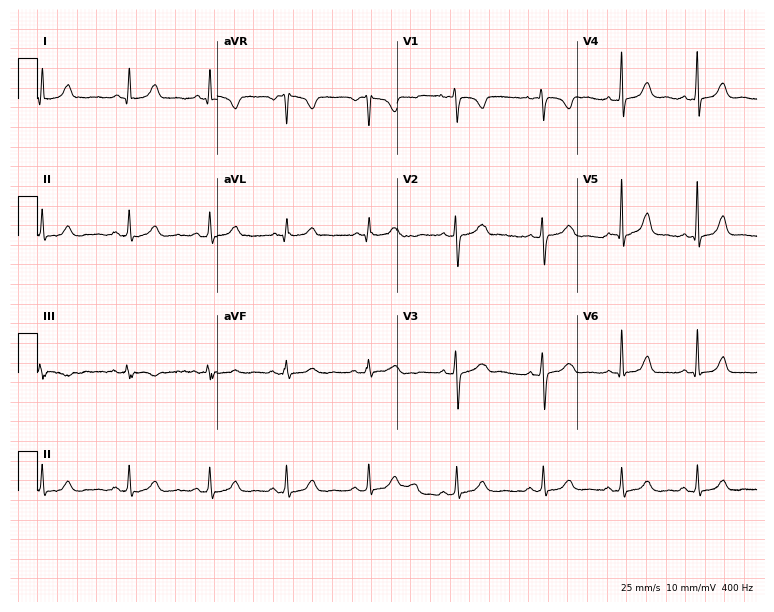
12-lead ECG from a 29-year-old female (7.3-second recording at 400 Hz). Recorded interpretation: within normal limits.